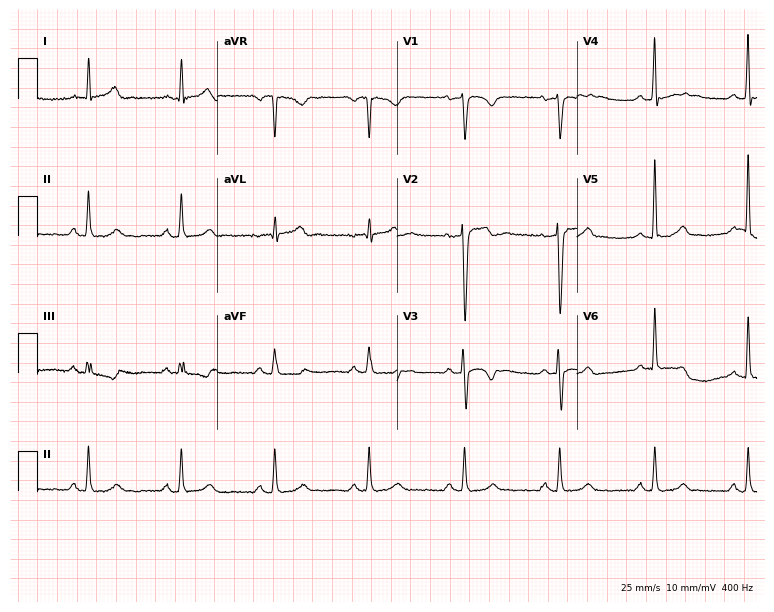
12-lead ECG from a man, 40 years old. Screened for six findings — first-degree AV block, right bundle branch block, left bundle branch block, sinus bradycardia, atrial fibrillation, sinus tachycardia — none is recorded.